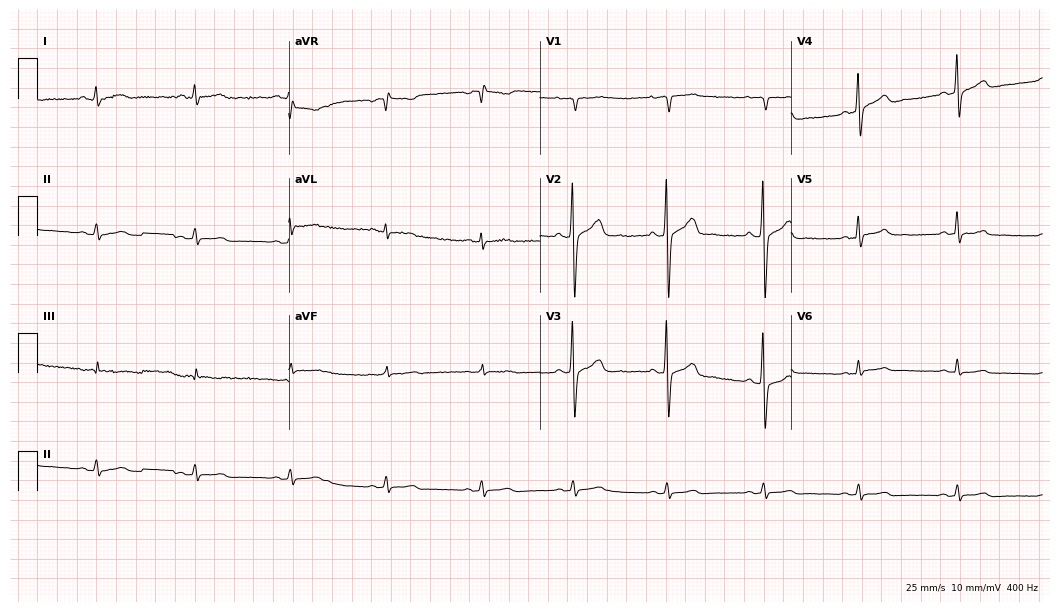
Resting 12-lead electrocardiogram. Patient: a 47-year-old man. None of these six findings is recorded: first-degree AV block, right bundle branch block, left bundle branch block, sinus bradycardia, atrial fibrillation, sinus tachycardia.